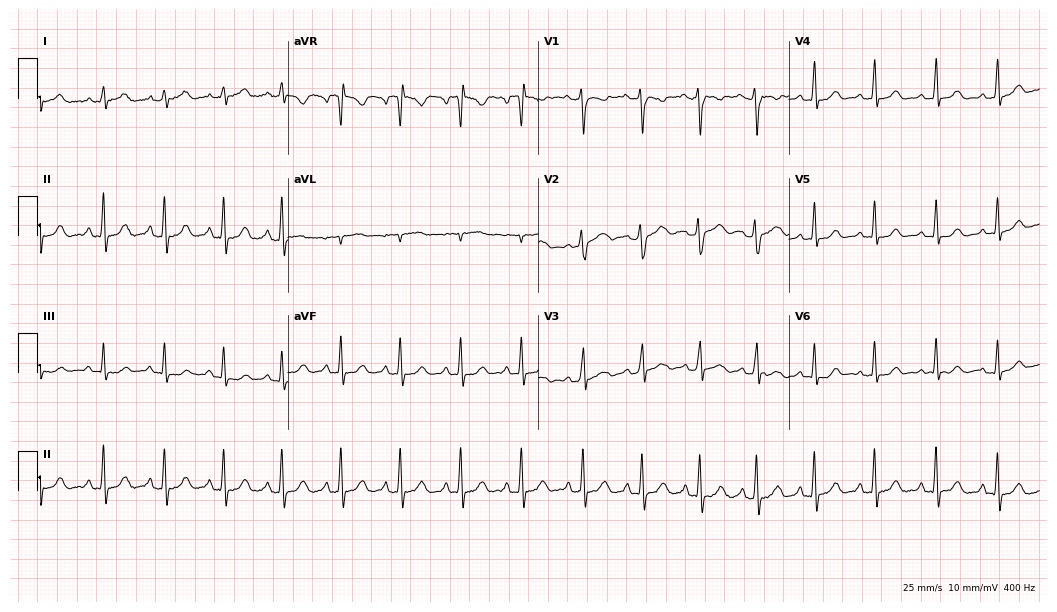
Standard 12-lead ECG recorded from a female, 34 years old (10.2-second recording at 400 Hz). None of these six findings is recorded: first-degree AV block, right bundle branch block, left bundle branch block, sinus bradycardia, atrial fibrillation, sinus tachycardia.